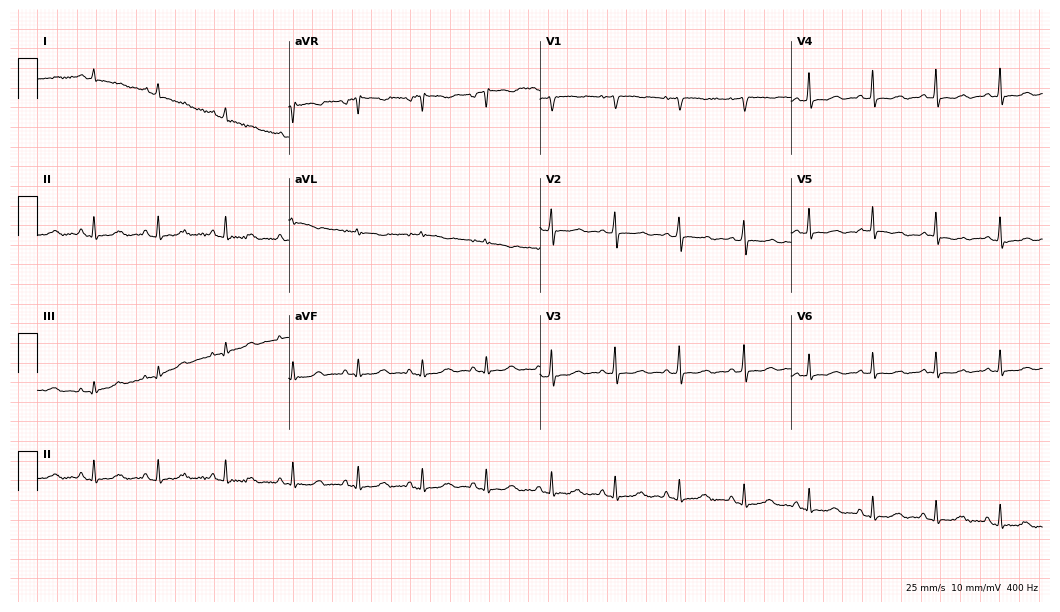
Resting 12-lead electrocardiogram. Patient: a female, 39 years old. None of these six findings is recorded: first-degree AV block, right bundle branch block (RBBB), left bundle branch block (LBBB), sinus bradycardia, atrial fibrillation (AF), sinus tachycardia.